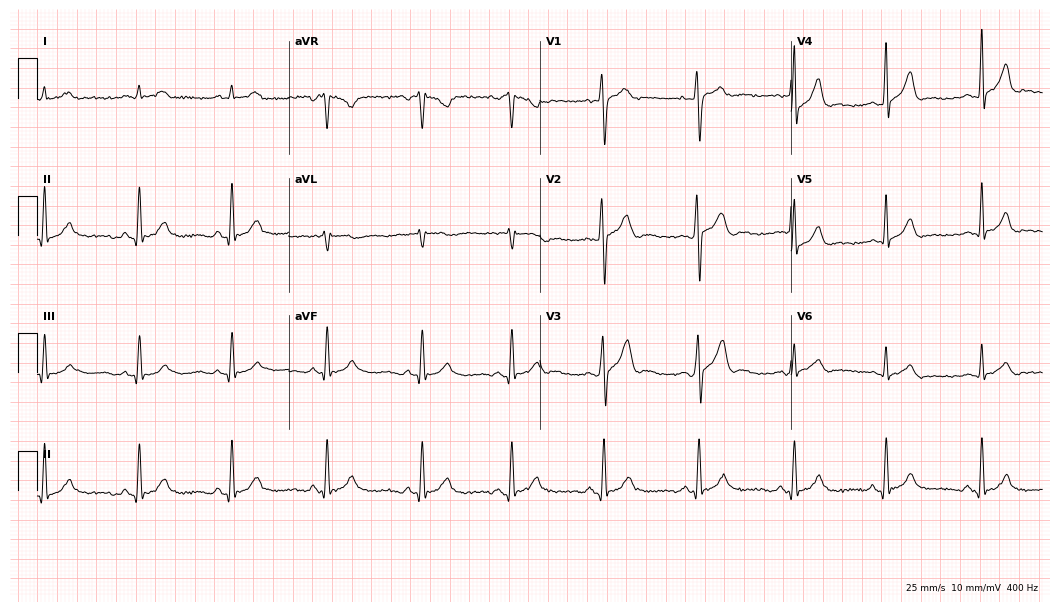
Standard 12-lead ECG recorded from a man, 29 years old. None of these six findings is recorded: first-degree AV block, right bundle branch block (RBBB), left bundle branch block (LBBB), sinus bradycardia, atrial fibrillation (AF), sinus tachycardia.